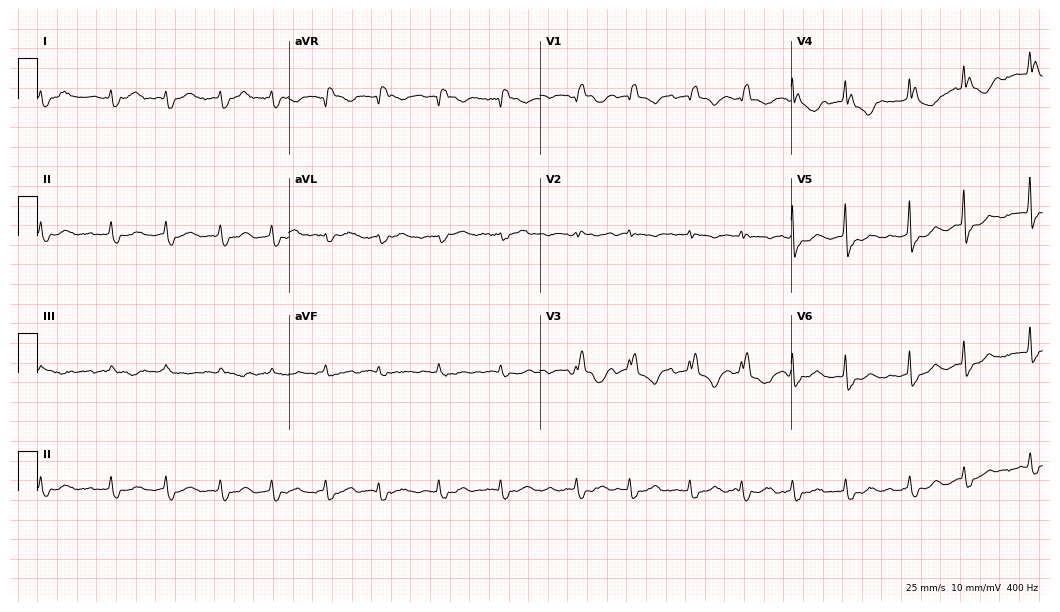
ECG (10.2-second recording at 400 Hz) — a female patient, 68 years old. Findings include right bundle branch block, atrial fibrillation.